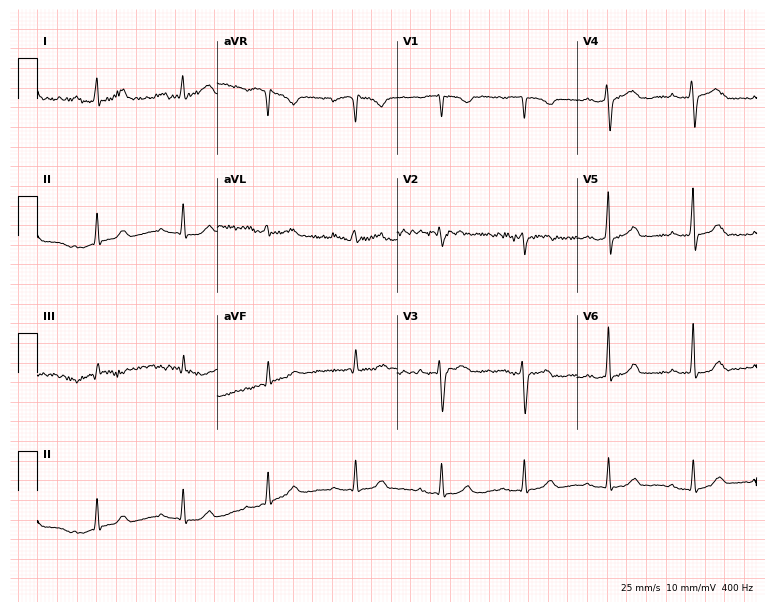
12-lead ECG from a female patient, 35 years old (7.3-second recording at 400 Hz). Shows first-degree AV block.